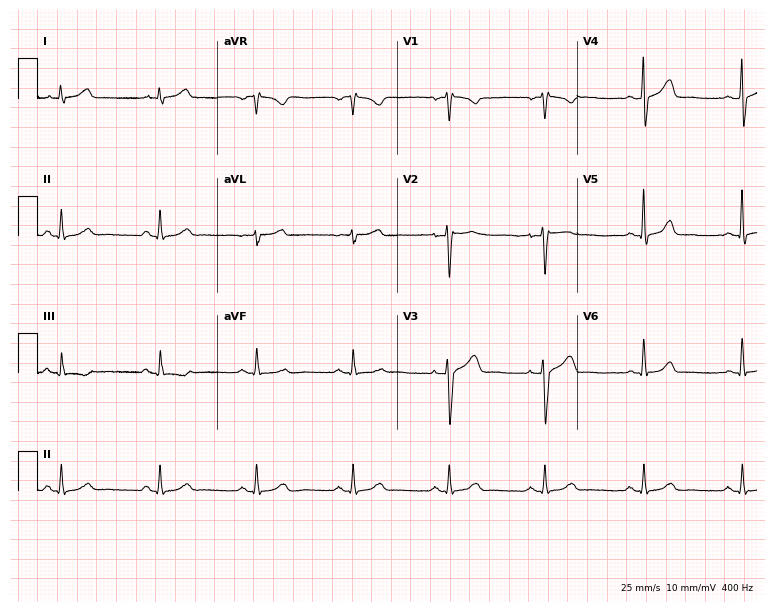
12-lead ECG (7.3-second recording at 400 Hz) from a female patient, 56 years old. Labelled as a normal ECG.